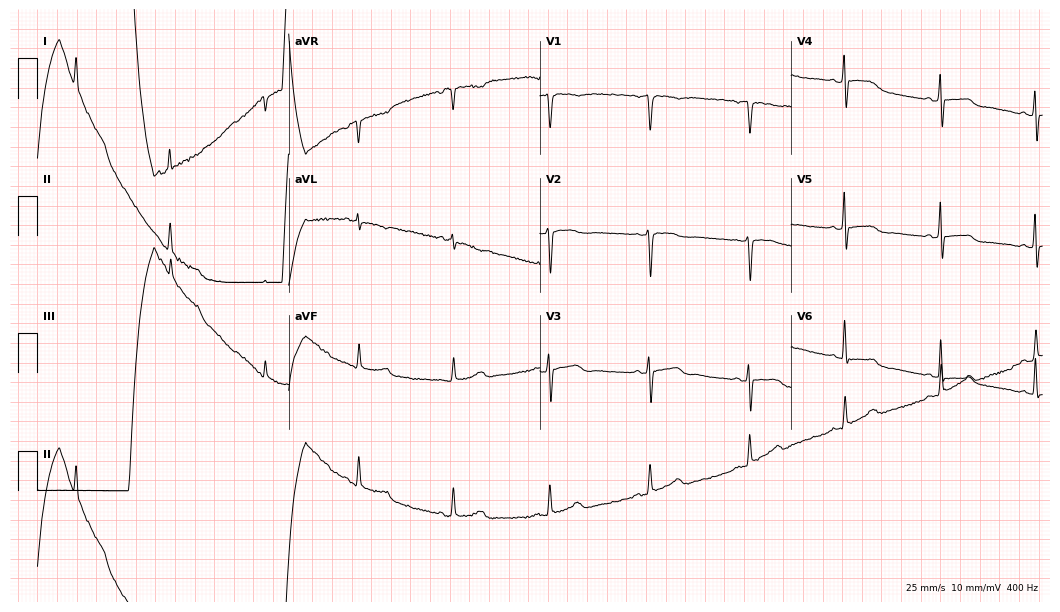
Resting 12-lead electrocardiogram (10.2-second recording at 400 Hz). Patient: a female, 54 years old. None of these six findings is recorded: first-degree AV block, right bundle branch block, left bundle branch block, sinus bradycardia, atrial fibrillation, sinus tachycardia. Only these six findings were labelled.